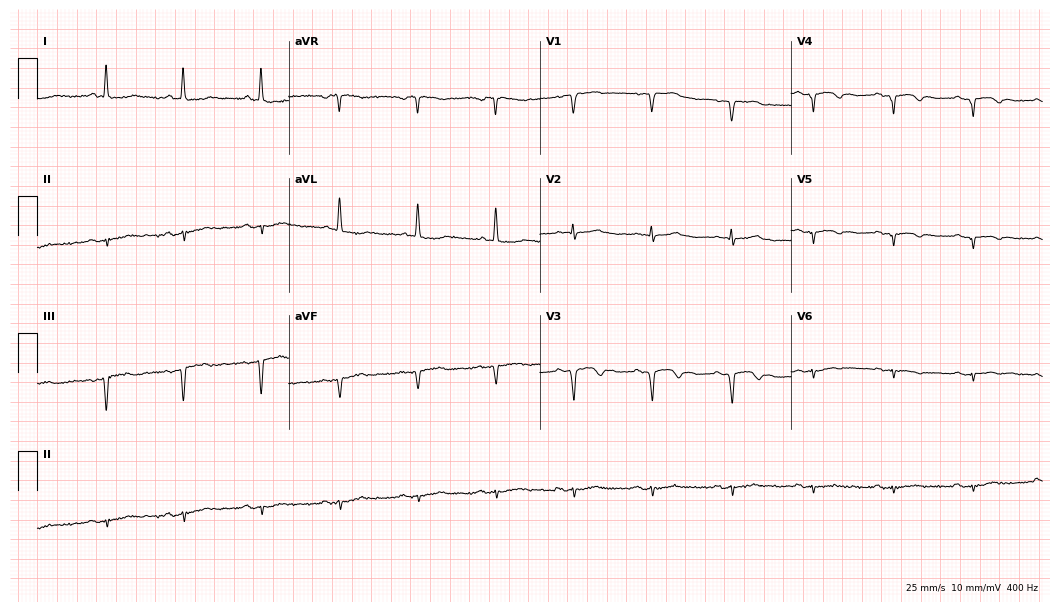
ECG — a 65-year-old woman. Screened for six findings — first-degree AV block, right bundle branch block (RBBB), left bundle branch block (LBBB), sinus bradycardia, atrial fibrillation (AF), sinus tachycardia — none is recorded. Only these six findings were labelled.